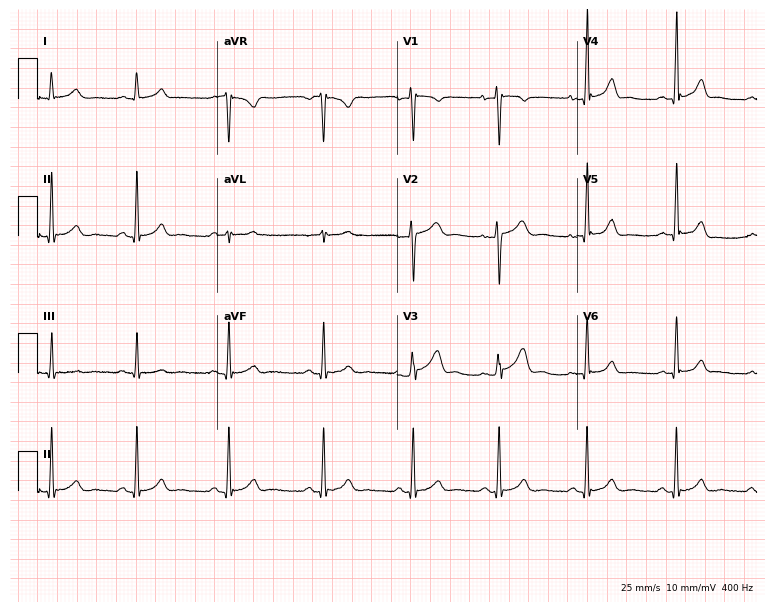
Standard 12-lead ECG recorded from a woman, 30 years old (7.3-second recording at 400 Hz). Read as a normal ECG.